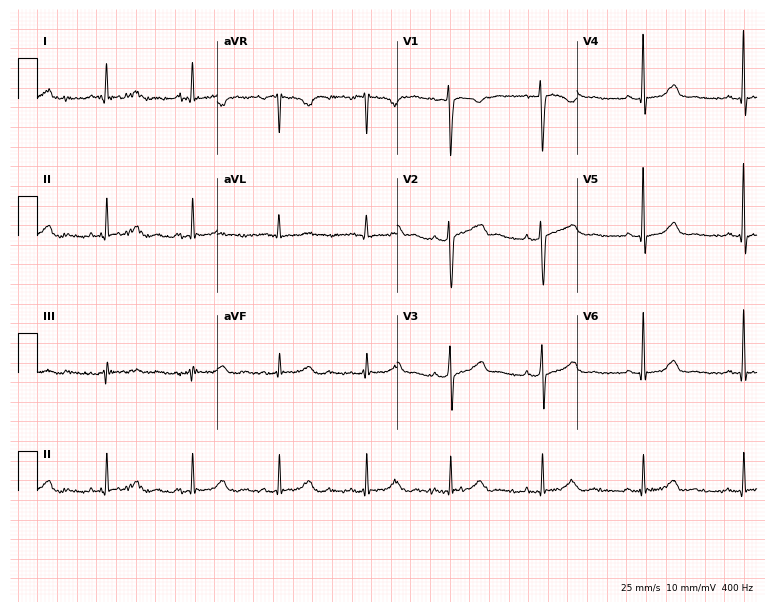
12-lead ECG from a female, 39 years old (7.3-second recording at 400 Hz). Recorded interpretation: within normal limits.